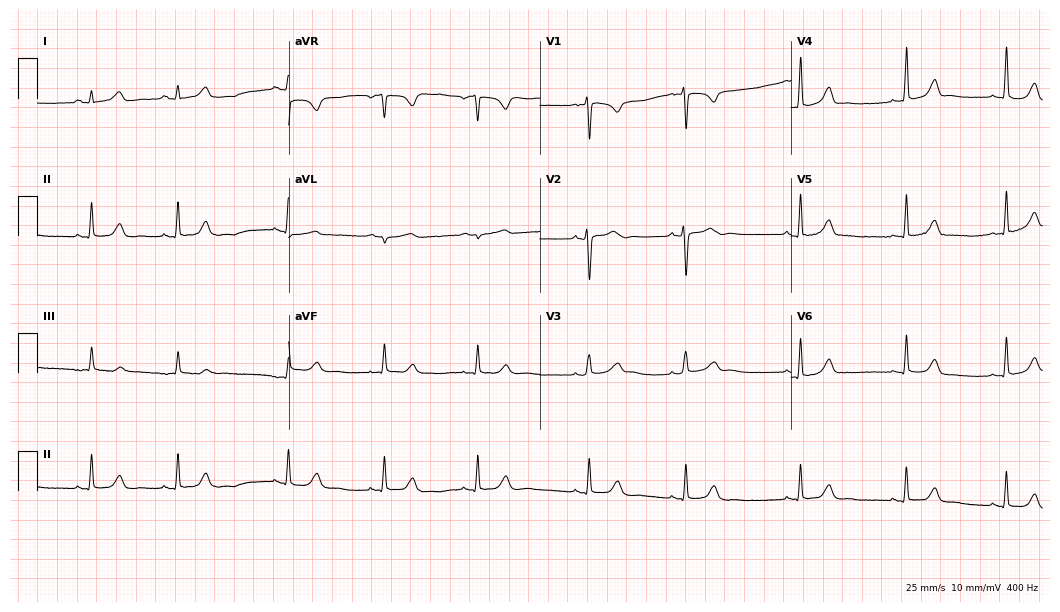
12-lead ECG from a 26-year-old woman (10.2-second recording at 400 Hz). Recorded interpretation: within normal limits.